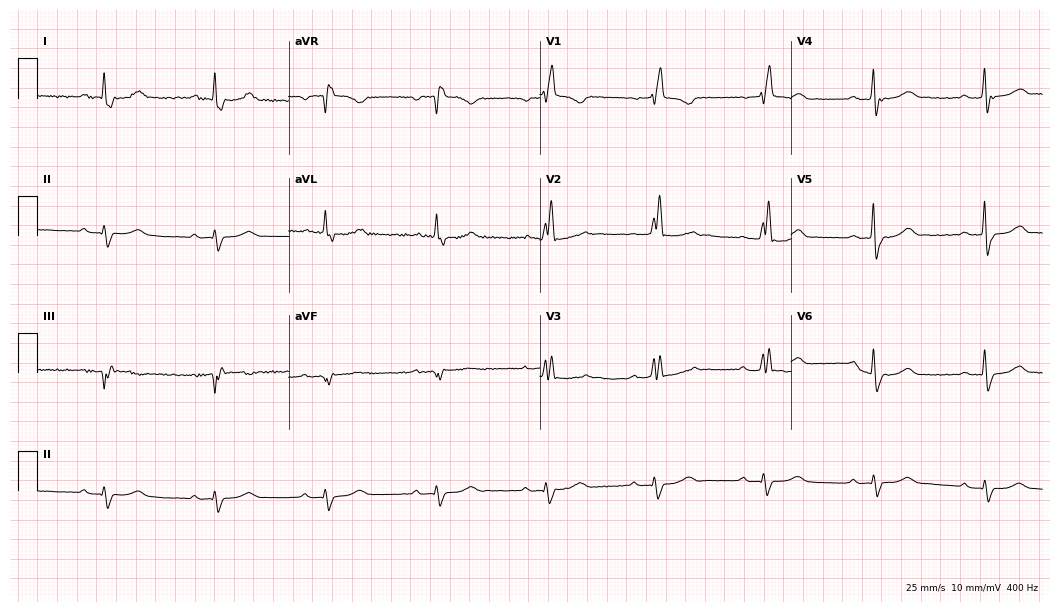
Electrocardiogram, a male, 78 years old. Interpretation includes first-degree AV block, right bundle branch block (RBBB).